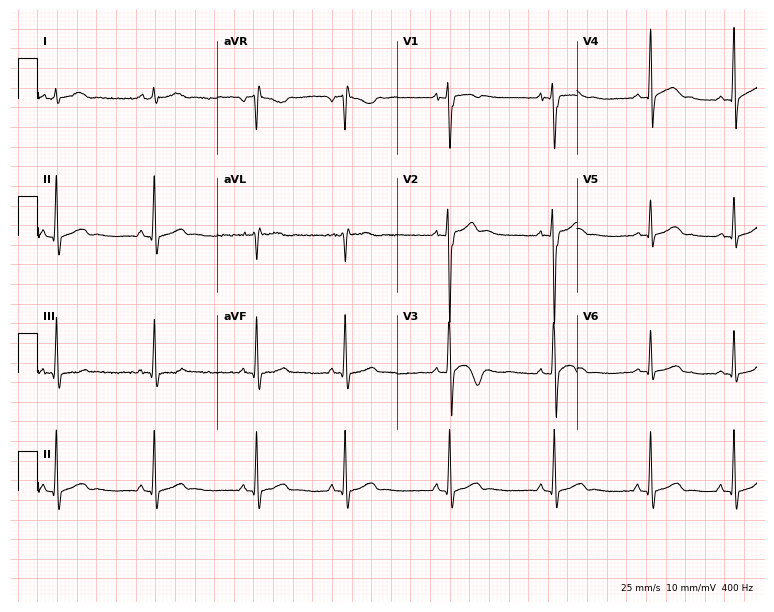
12-lead ECG (7.3-second recording at 400 Hz) from a 17-year-old man. Labelled as a normal ECG.